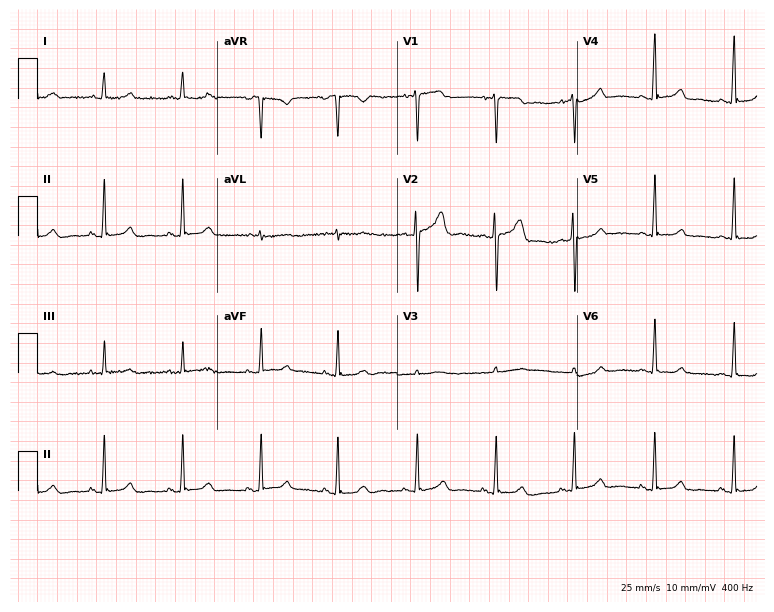
Standard 12-lead ECG recorded from a woman, 61 years old (7.3-second recording at 400 Hz). Read as a normal ECG.